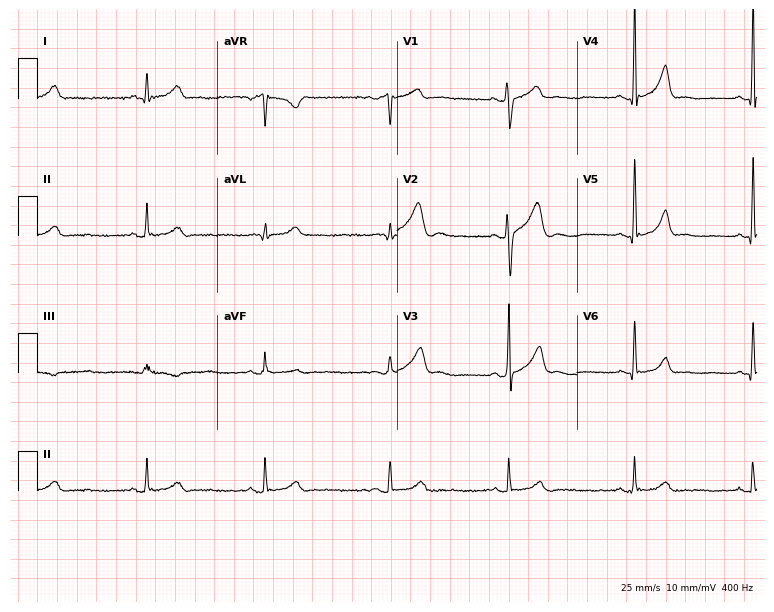
ECG — a male patient, 29 years old. Labelled as a normal ECG.